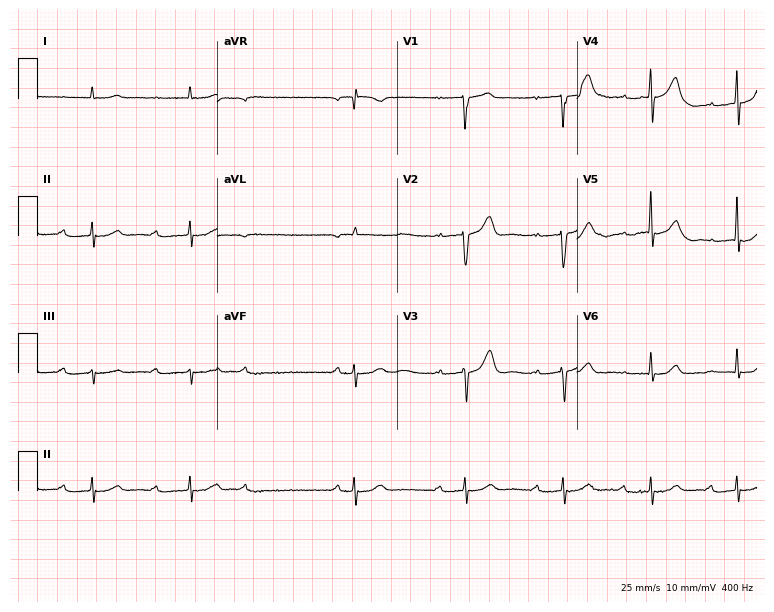
Standard 12-lead ECG recorded from a male patient, 82 years old (7.3-second recording at 400 Hz). The tracing shows first-degree AV block.